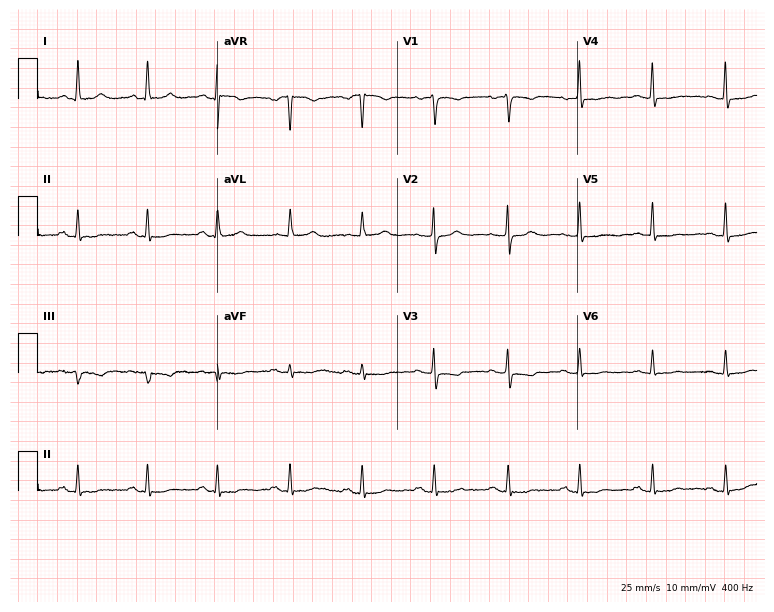
Electrocardiogram, a 53-year-old female. Of the six screened findings (first-degree AV block, right bundle branch block (RBBB), left bundle branch block (LBBB), sinus bradycardia, atrial fibrillation (AF), sinus tachycardia), none is recorded. Other findings, if any, are not listed.